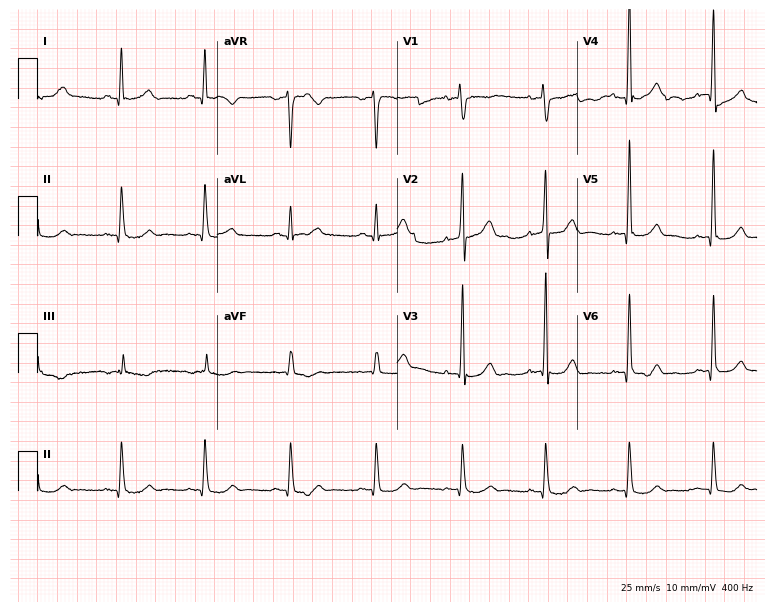
ECG — a 57-year-old man. Labelled as a normal ECG.